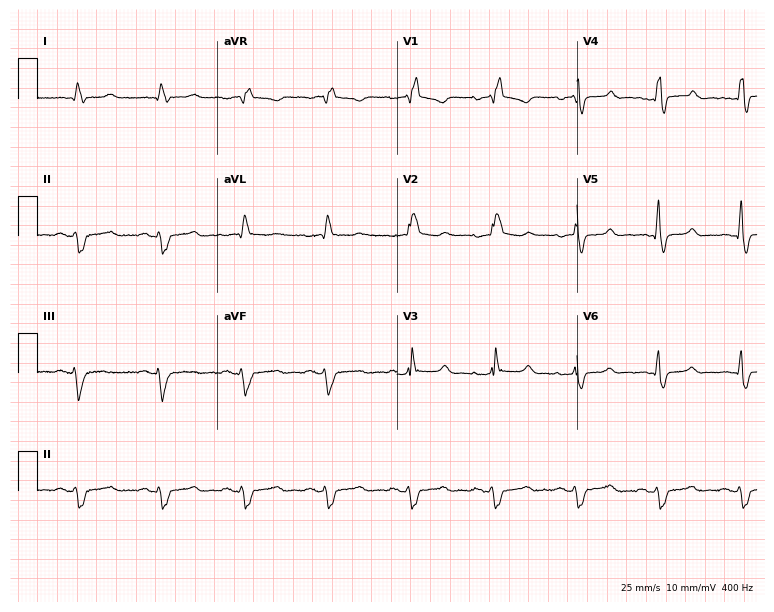
Resting 12-lead electrocardiogram (7.3-second recording at 400 Hz). Patient: an 80-year-old man. The tracing shows right bundle branch block.